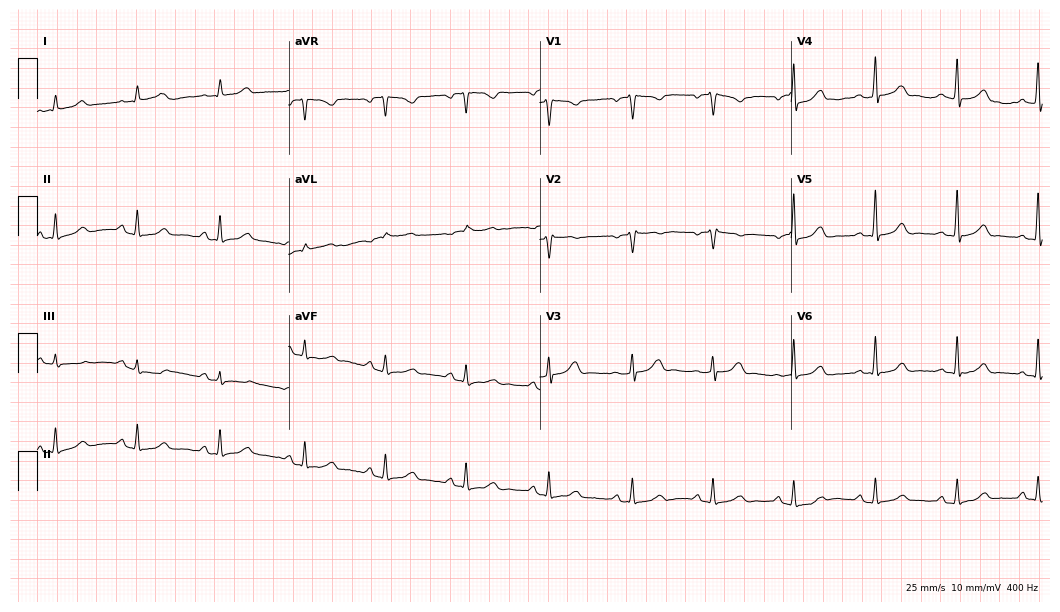
12-lead ECG (10.2-second recording at 400 Hz) from a 31-year-old woman. Labelled as a normal ECG.